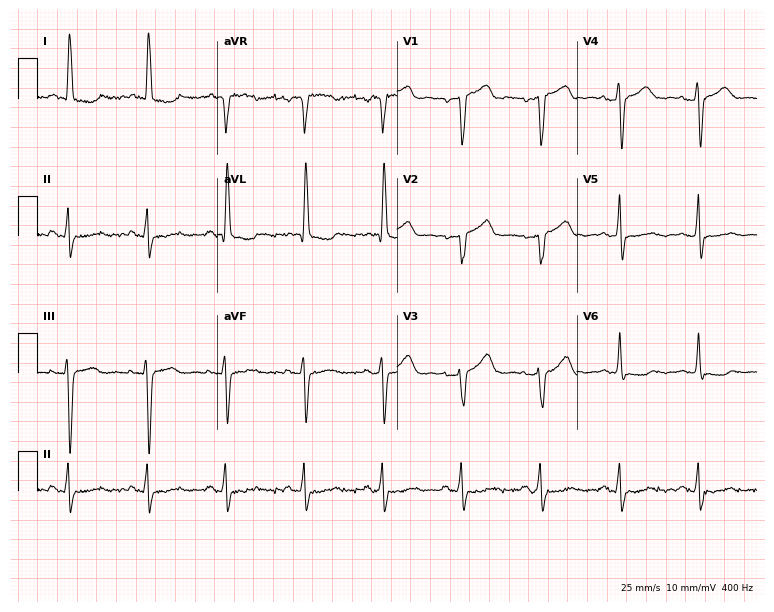
Electrocardiogram, a 60-year-old female. Of the six screened findings (first-degree AV block, right bundle branch block, left bundle branch block, sinus bradycardia, atrial fibrillation, sinus tachycardia), none is recorded. Only these six findings were labelled.